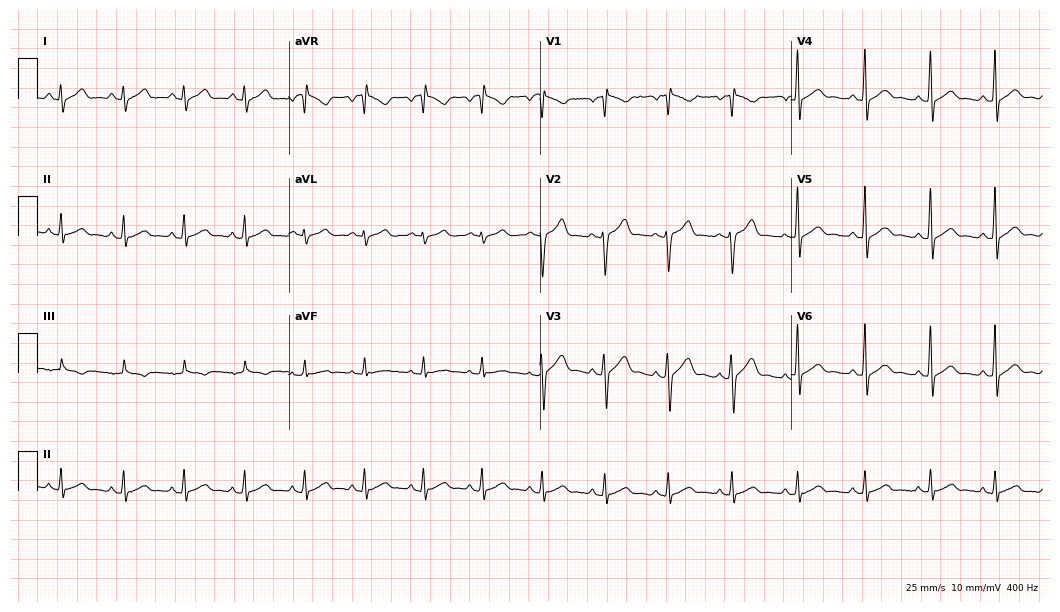
Standard 12-lead ECG recorded from a 27-year-old male patient. Read as a normal ECG.